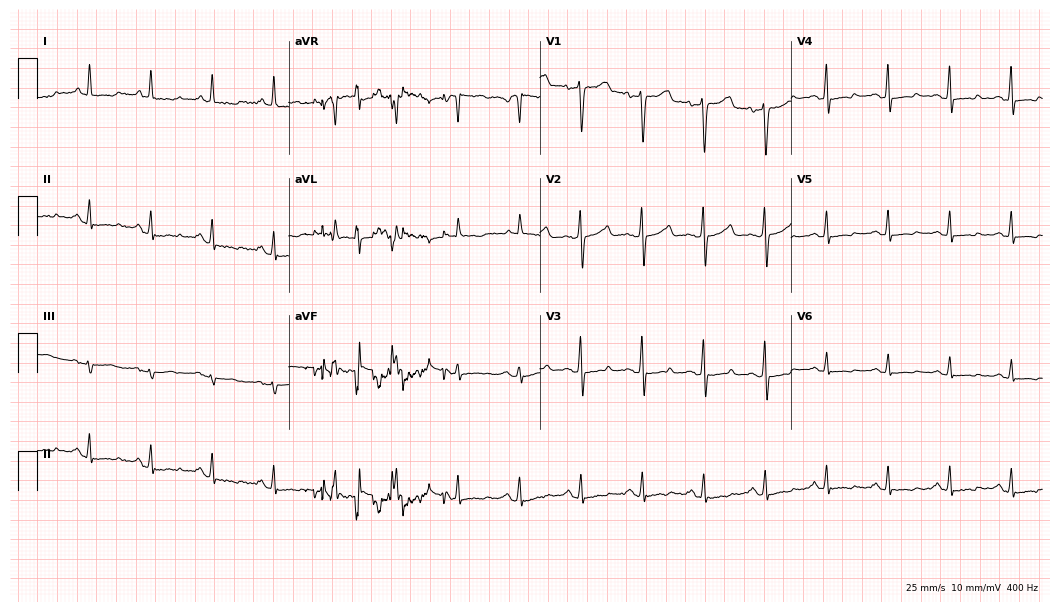
12-lead ECG (10.2-second recording at 400 Hz) from a female, 65 years old. Screened for six findings — first-degree AV block, right bundle branch block, left bundle branch block, sinus bradycardia, atrial fibrillation, sinus tachycardia — none is recorded.